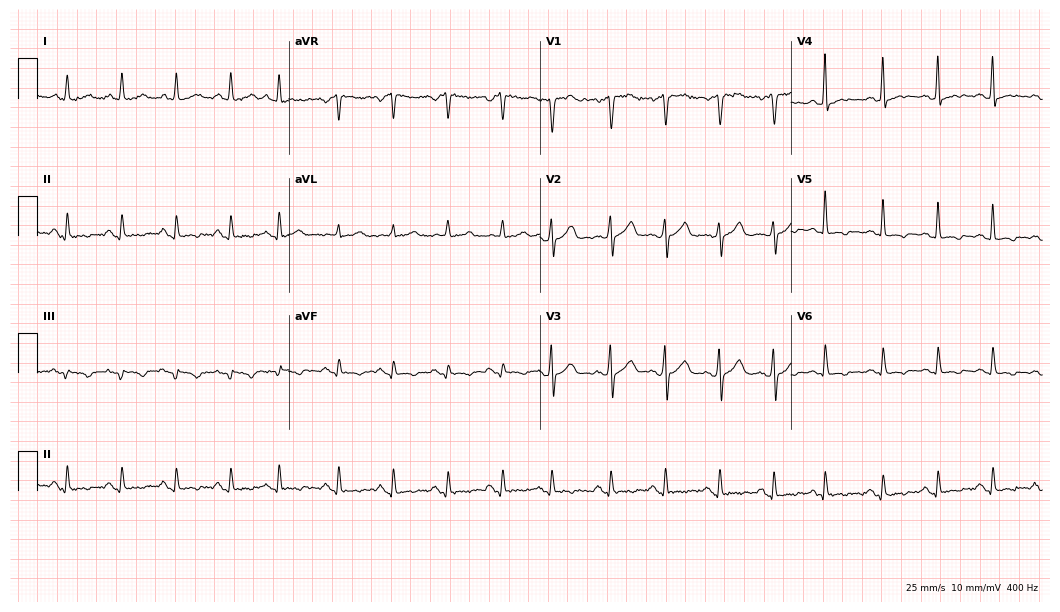
ECG (10.2-second recording at 400 Hz) — a male patient, 55 years old. Findings include sinus tachycardia (a sinus rate of 100 beats per minute or more).